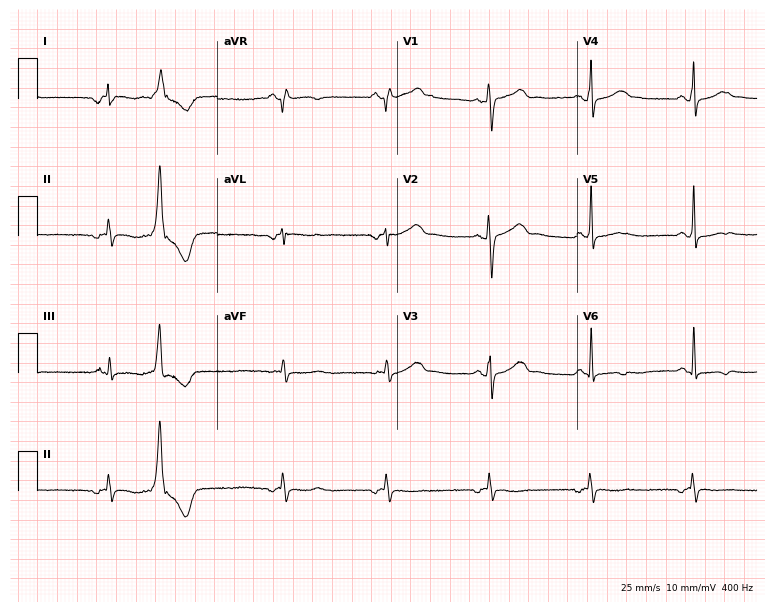
12-lead ECG (7.3-second recording at 400 Hz) from a 67-year-old male patient. Screened for six findings — first-degree AV block, right bundle branch block, left bundle branch block, sinus bradycardia, atrial fibrillation, sinus tachycardia — none is recorded. Other findings, if any, are not listed.